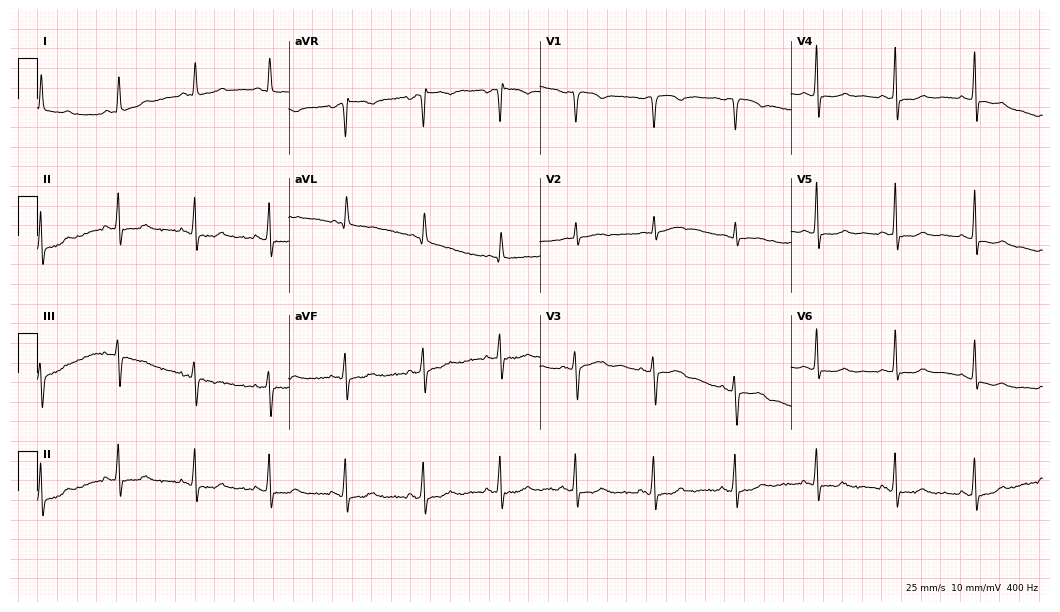
Standard 12-lead ECG recorded from a woman, 66 years old. None of these six findings is recorded: first-degree AV block, right bundle branch block, left bundle branch block, sinus bradycardia, atrial fibrillation, sinus tachycardia.